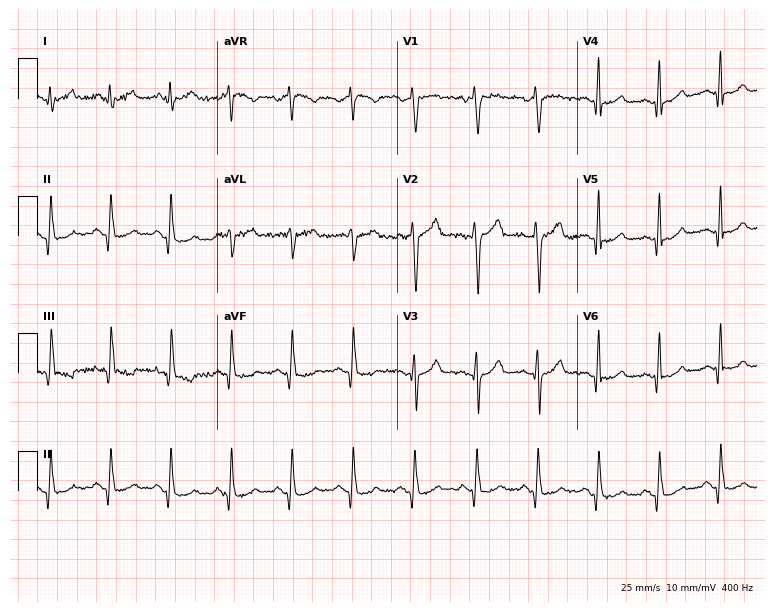
12-lead ECG from a female patient, 37 years old (7.3-second recording at 400 Hz). No first-degree AV block, right bundle branch block, left bundle branch block, sinus bradycardia, atrial fibrillation or sinus tachycardia recorded for this tracing.